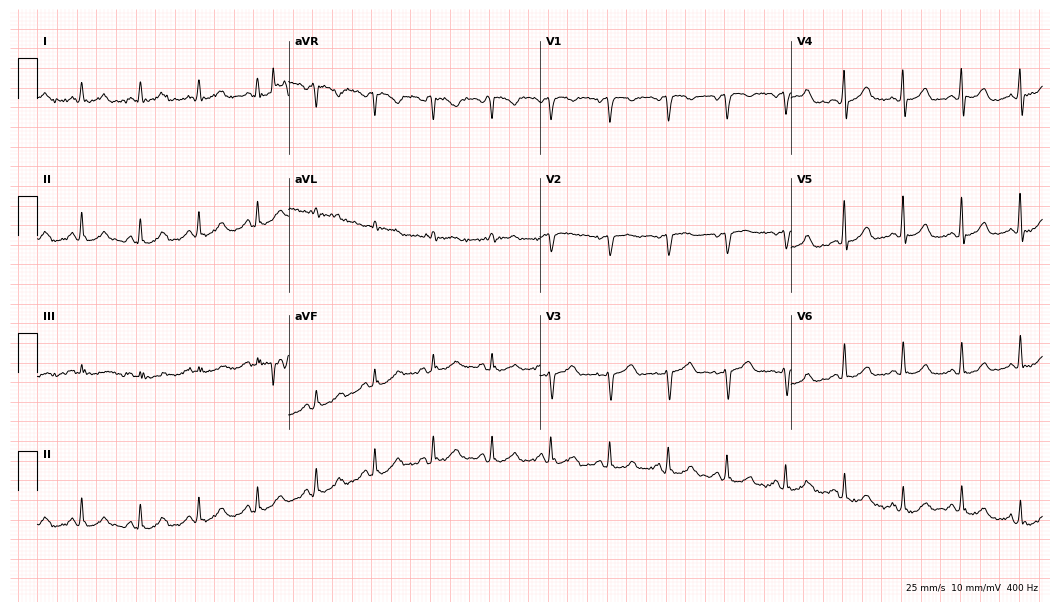
Electrocardiogram, a 66-year-old male patient. Interpretation includes sinus tachycardia (a sinus rate of 100 beats per minute or more).